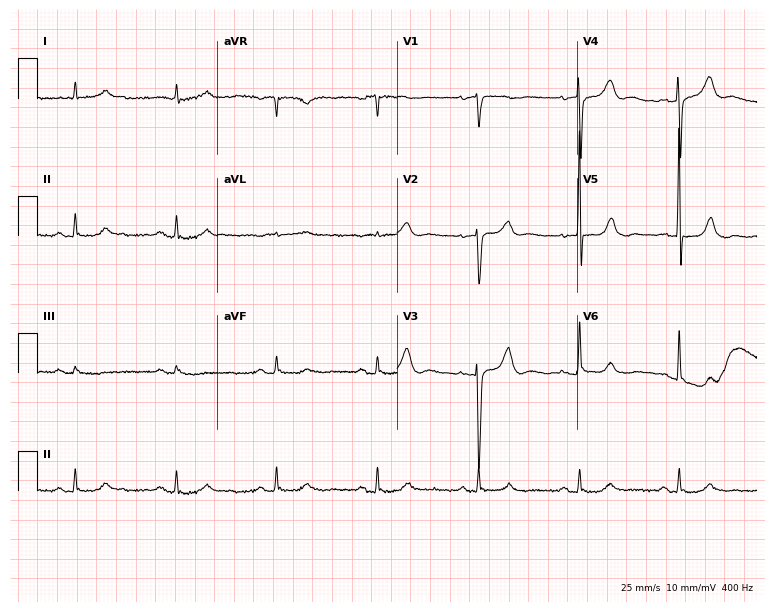
Electrocardiogram (7.3-second recording at 400 Hz), an 80-year-old male patient. Overall reading on record: normal ECG.